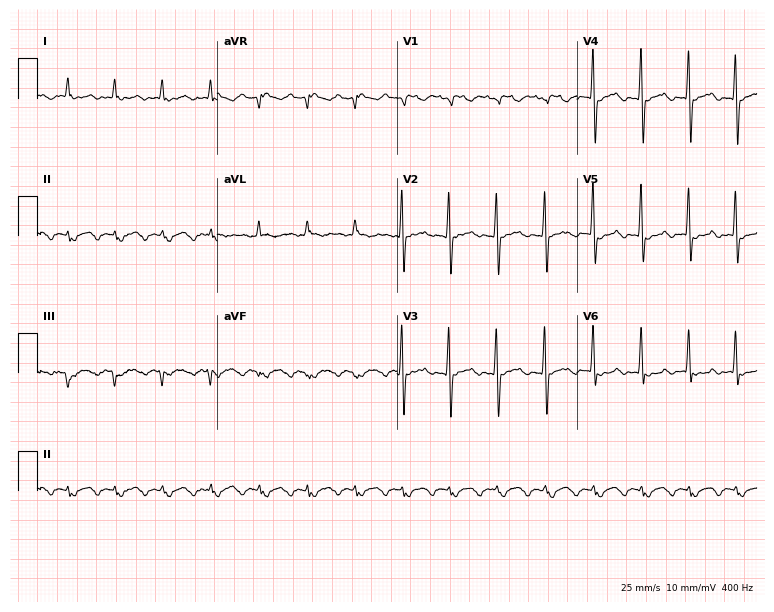
12-lead ECG from a male patient, 81 years old. No first-degree AV block, right bundle branch block (RBBB), left bundle branch block (LBBB), sinus bradycardia, atrial fibrillation (AF) or sinus tachycardia recorded for this tracing.